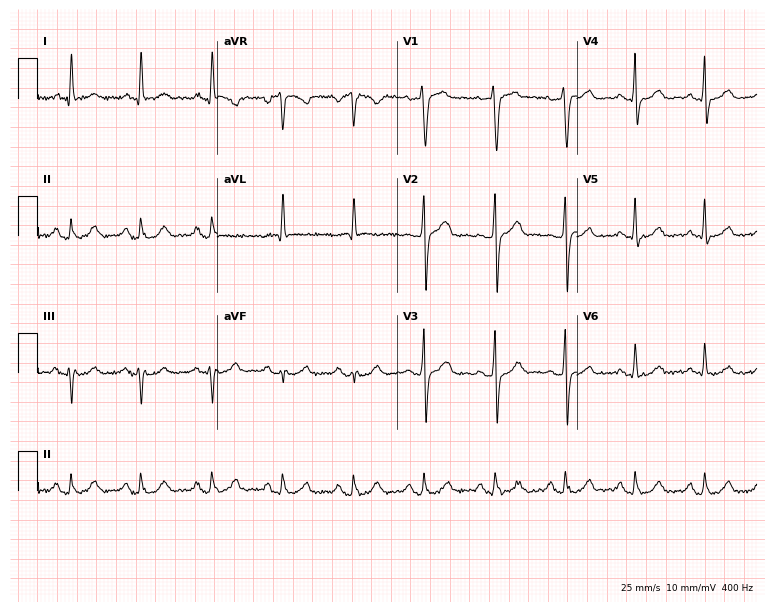
Standard 12-lead ECG recorded from a 52-year-old male (7.3-second recording at 400 Hz). Read as a normal ECG.